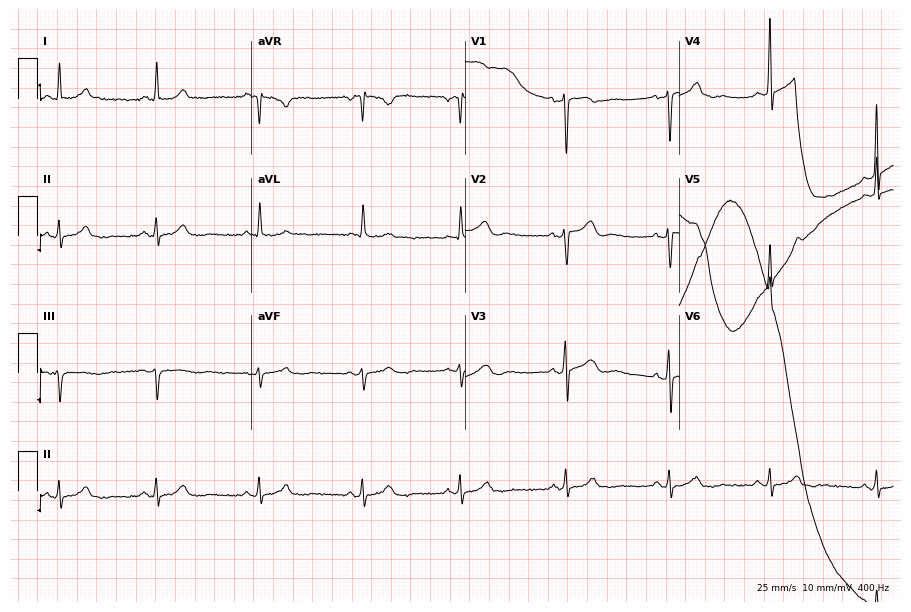
Resting 12-lead electrocardiogram (8.7-second recording at 400 Hz). Patient: a 69-year-old man. None of these six findings is recorded: first-degree AV block, right bundle branch block, left bundle branch block, sinus bradycardia, atrial fibrillation, sinus tachycardia.